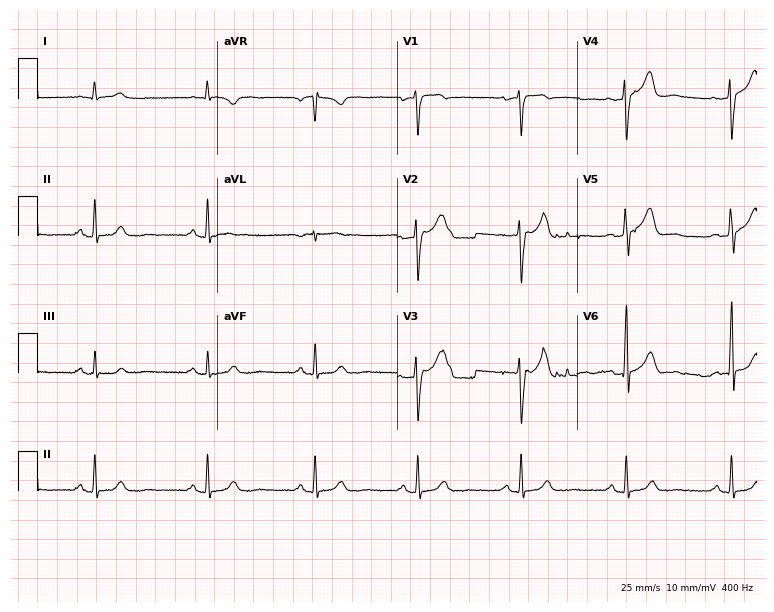
ECG (7.3-second recording at 400 Hz) — a 64-year-old male. Labelled as a normal ECG.